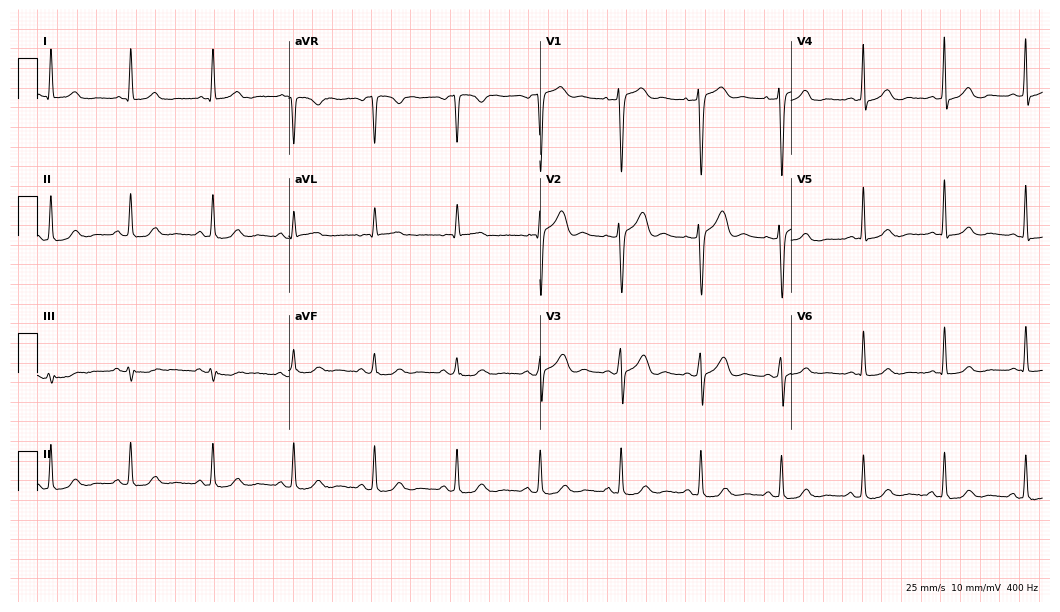
12-lead ECG from a 56-year-old woman. Screened for six findings — first-degree AV block, right bundle branch block, left bundle branch block, sinus bradycardia, atrial fibrillation, sinus tachycardia — none is recorded. Findings outside these six are not listed.